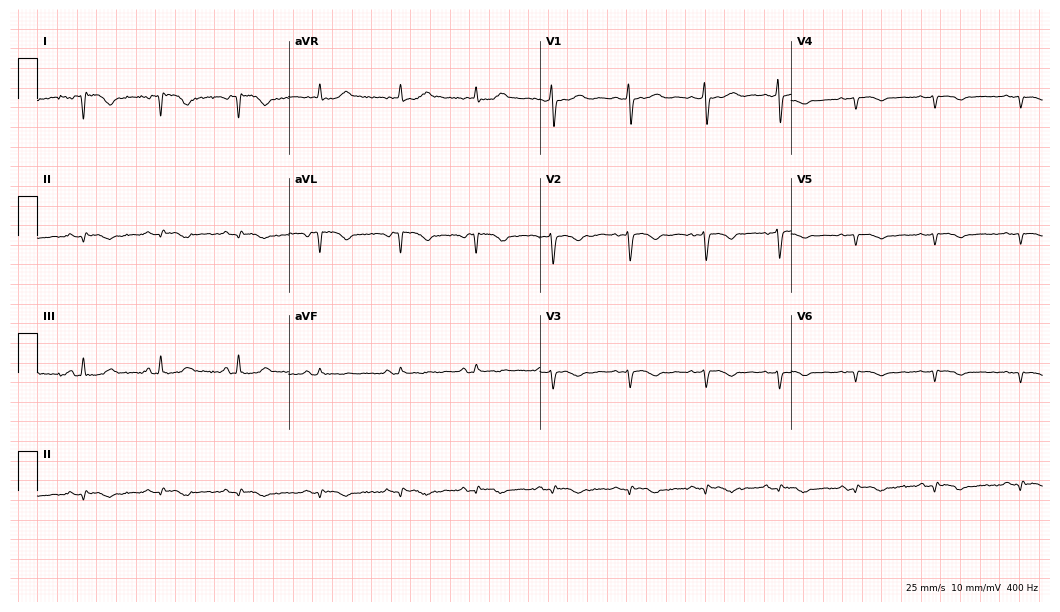
Standard 12-lead ECG recorded from a 39-year-old female. None of these six findings is recorded: first-degree AV block, right bundle branch block, left bundle branch block, sinus bradycardia, atrial fibrillation, sinus tachycardia. Other findings, if any, are not listed.